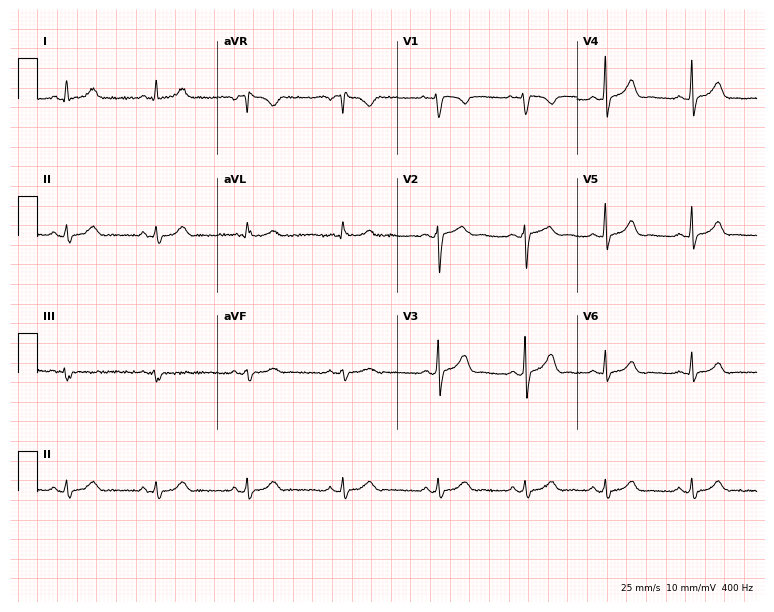
Standard 12-lead ECG recorded from a 33-year-old female patient. None of these six findings is recorded: first-degree AV block, right bundle branch block, left bundle branch block, sinus bradycardia, atrial fibrillation, sinus tachycardia. Other findings, if any, are not listed.